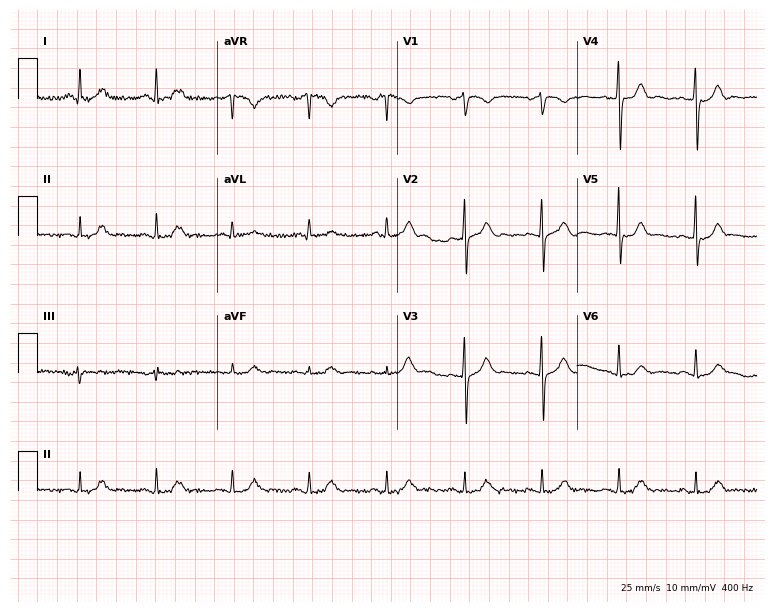
Electrocardiogram, a woman, 49 years old. Overall reading on record: normal ECG.